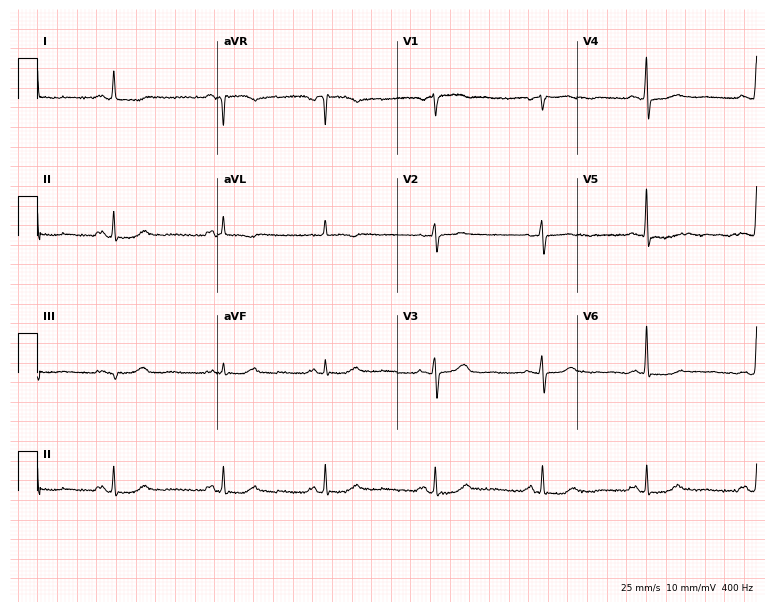
12-lead ECG from a female patient, 70 years old. Recorded interpretation: within normal limits.